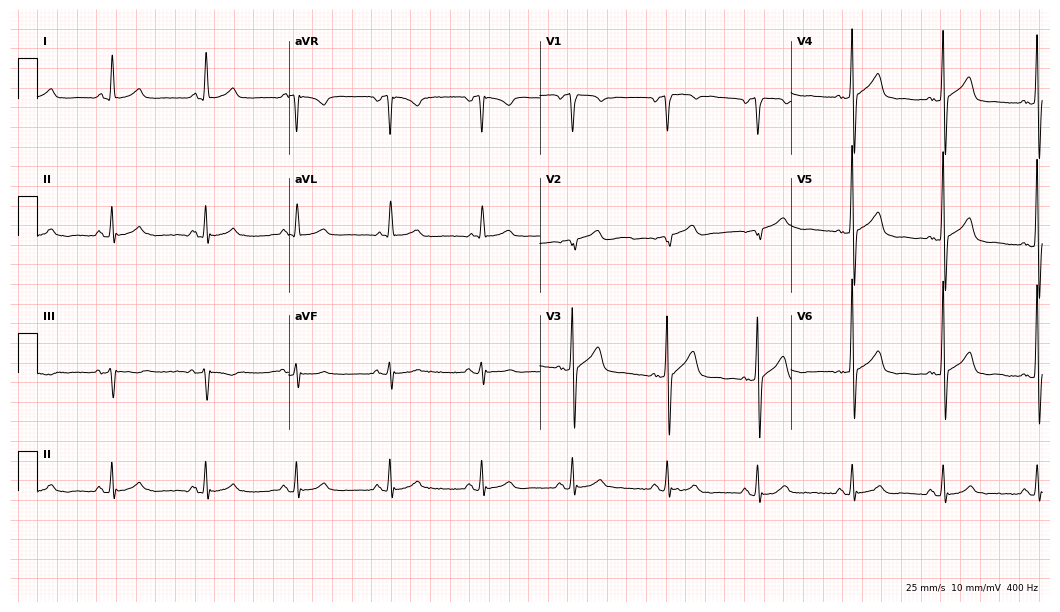
Standard 12-lead ECG recorded from a male patient, 71 years old. Read as a normal ECG.